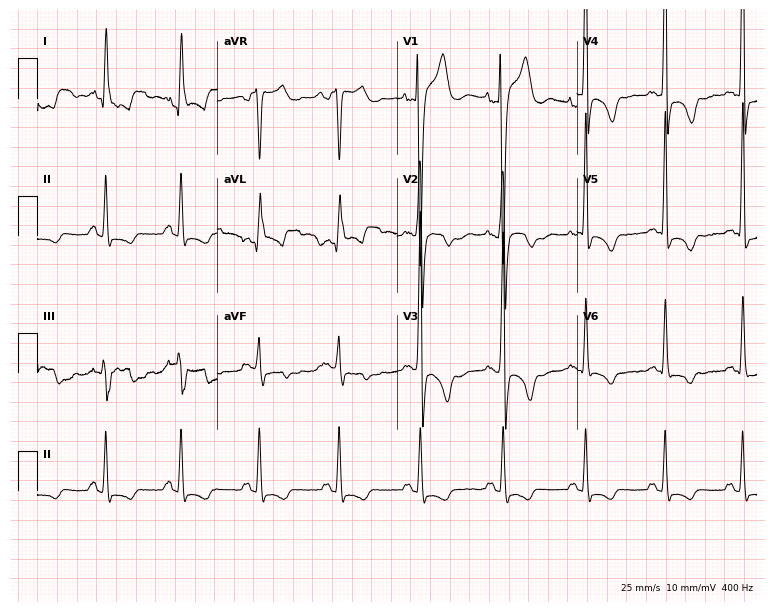
12-lead ECG (7.3-second recording at 400 Hz) from a 37-year-old man. Screened for six findings — first-degree AV block, right bundle branch block (RBBB), left bundle branch block (LBBB), sinus bradycardia, atrial fibrillation (AF), sinus tachycardia — none is recorded.